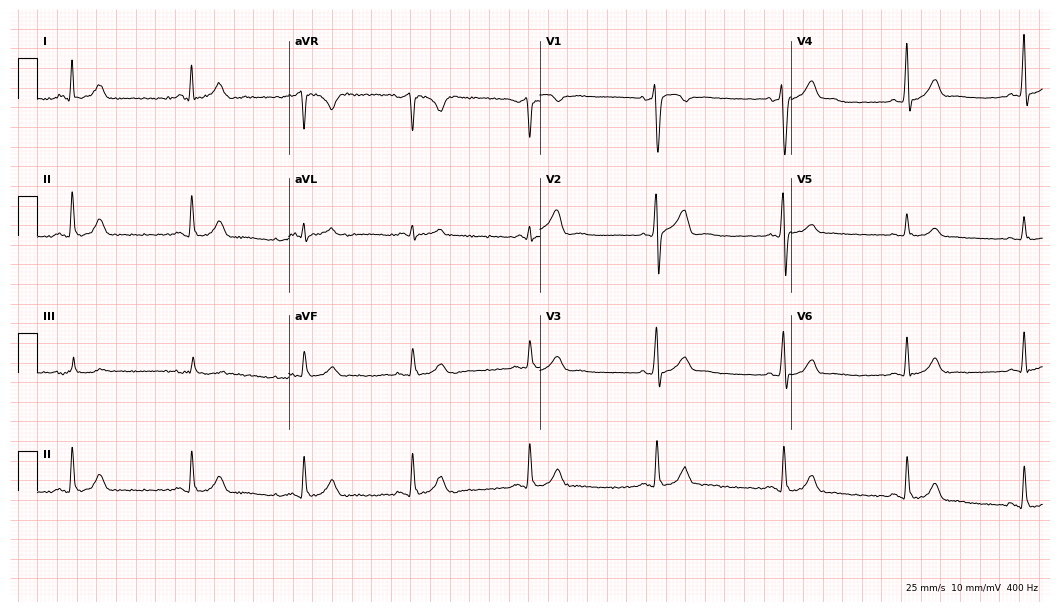
Resting 12-lead electrocardiogram (10.2-second recording at 400 Hz). Patient: a 35-year-old man. Read as a normal ECG.